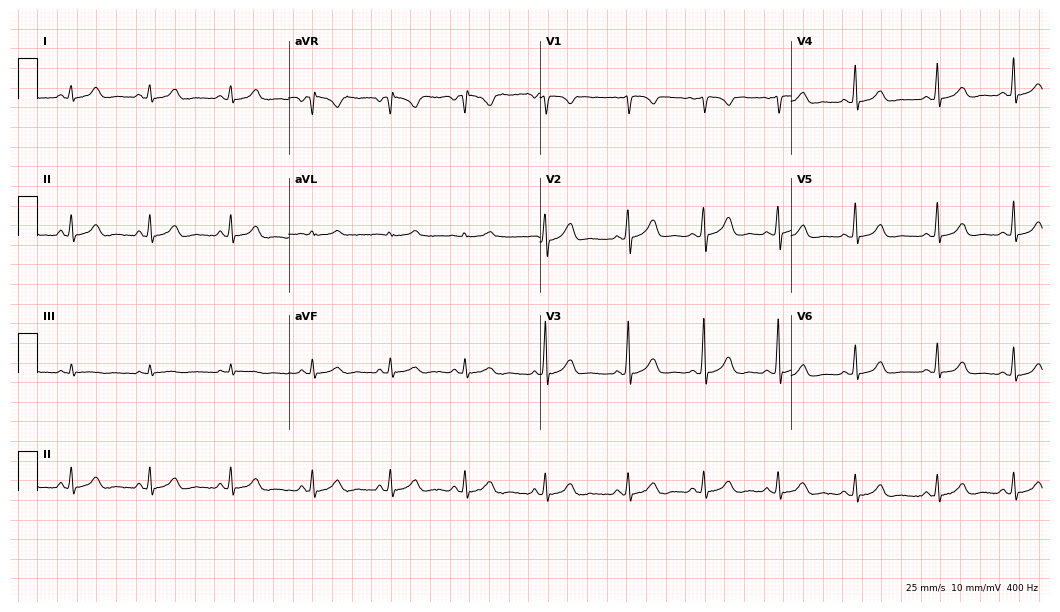
12-lead ECG from a 25-year-old female patient (10.2-second recording at 400 Hz). No first-degree AV block, right bundle branch block, left bundle branch block, sinus bradycardia, atrial fibrillation or sinus tachycardia recorded for this tracing.